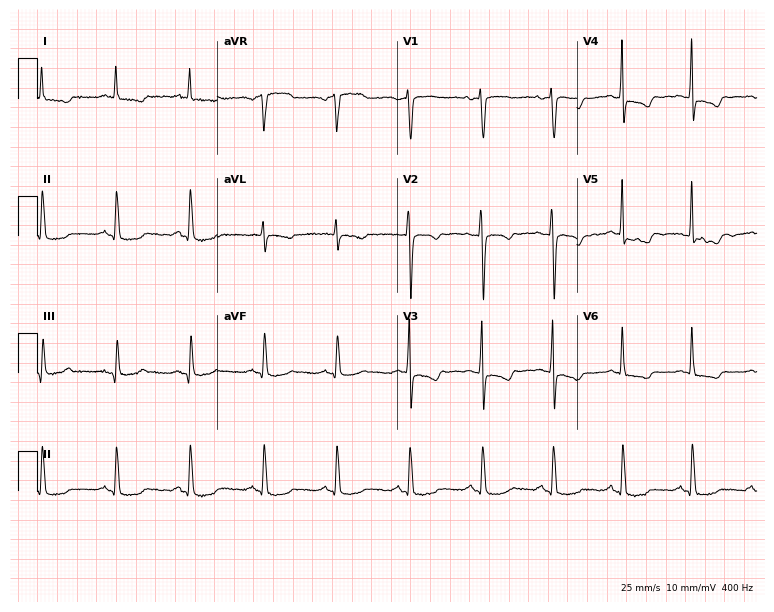
12-lead ECG from a 54-year-old female. Screened for six findings — first-degree AV block, right bundle branch block (RBBB), left bundle branch block (LBBB), sinus bradycardia, atrial fibrillation (AF), sinus tachycardia — none is recorded. Only these six findings were labelled.